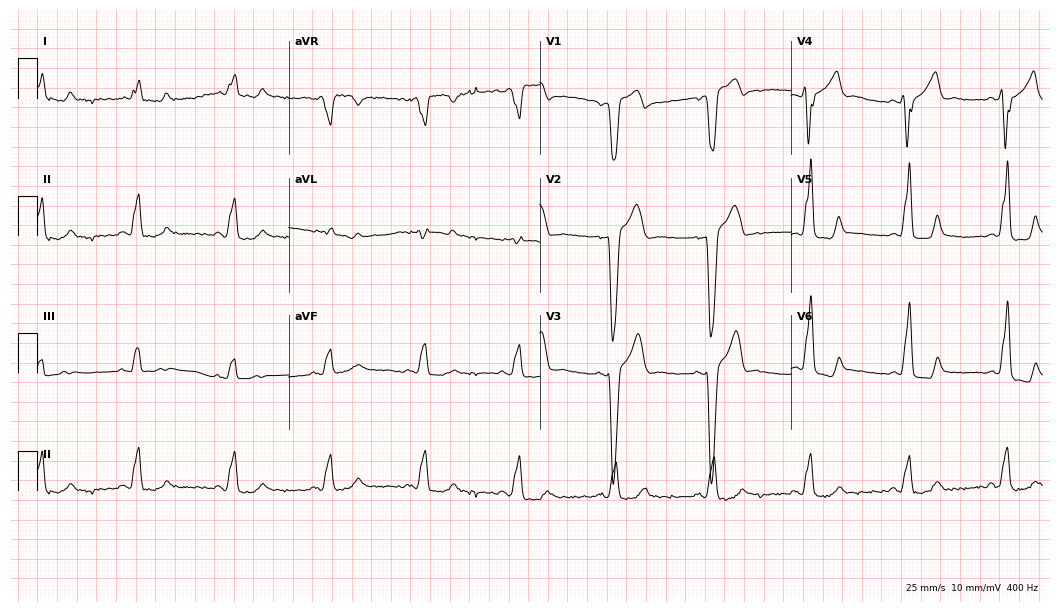
ECG — a male, 53 years old. Findings include left bundle branch block.